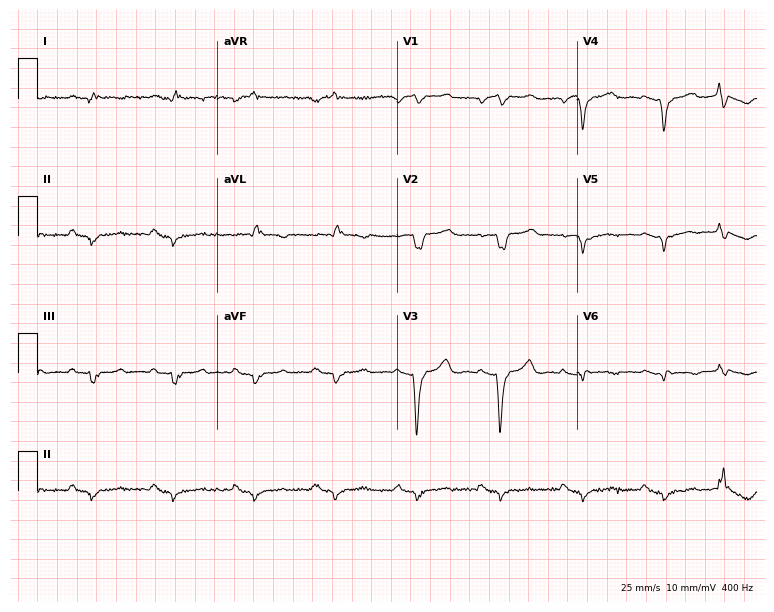
12-lead ECG from a female patient, 74 years old. Screened for six findings — first-degree AV block, right bundle branch block, left bundle branch block, sinus bradycardia, atrial fibrillation, sinus tachycardia — none is recorded.